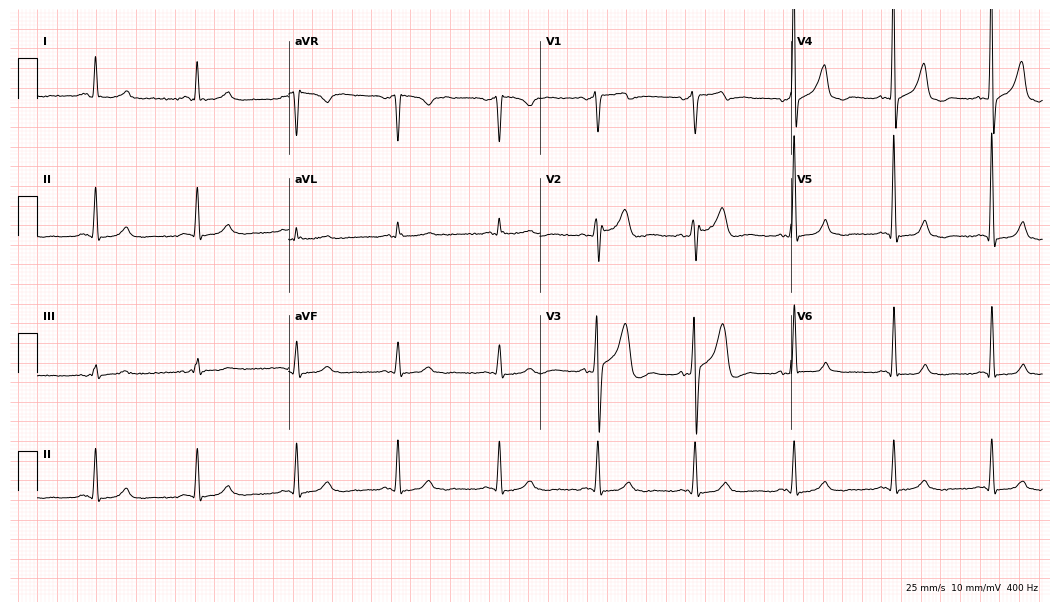
Resting 12-lead electrocardiogram. Patient: a male, 55 years old. None of these six findings is recorded: first-degree AV block, right bundle branch block, left bundle branch block, sinus bradycardia, atrial fibrillation, sinus tachycardia. Findings outside these six are not listed.